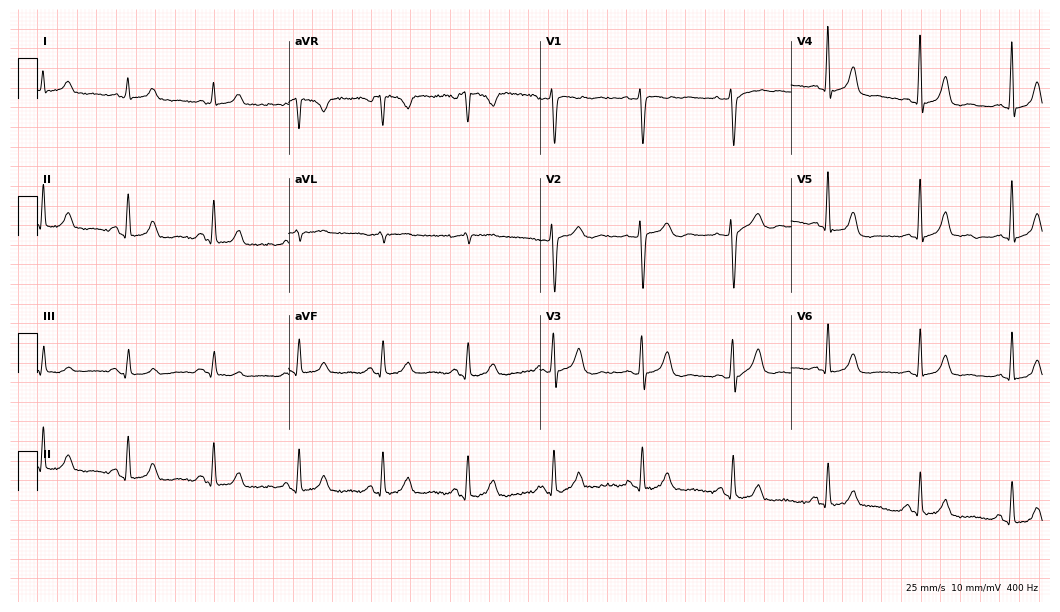
Standard 12-lead ECG recorded from a female patient, 37 years old. Read as a normal ECG.